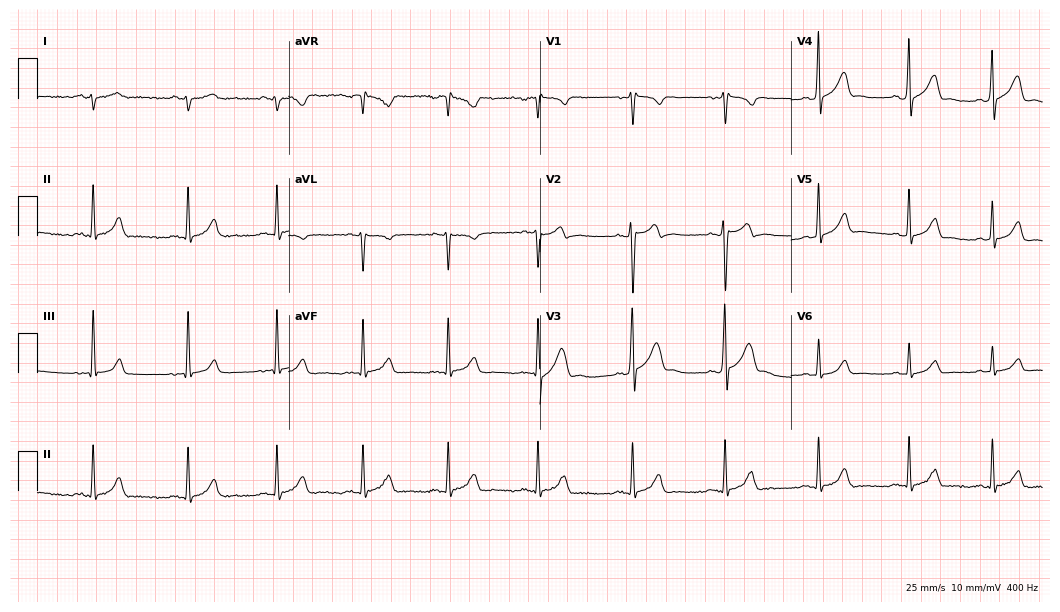
Standard 12-lead ECG recorded from a 23-year-old male (10.2-second recording at 400 Hz). Read as a normal ECG.